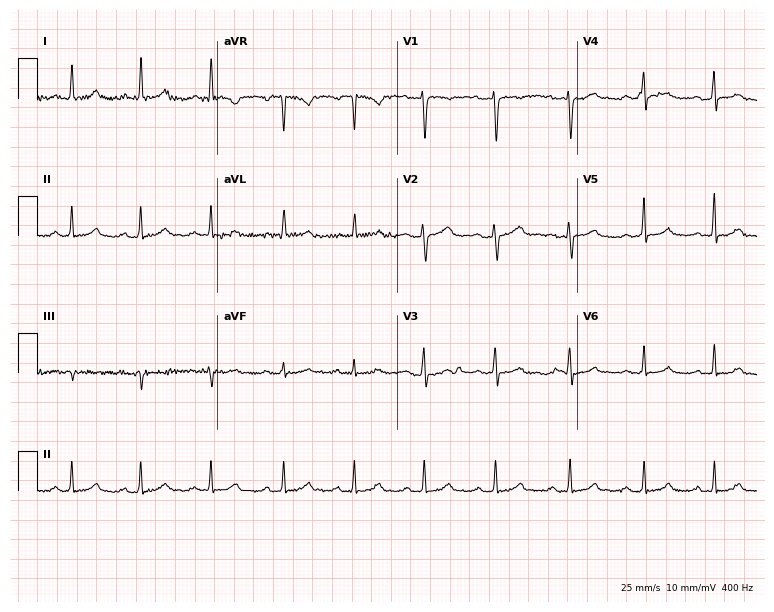
Standard 12-lead ECG recorded from a woman, 51 years old. Read as a normal ECG.